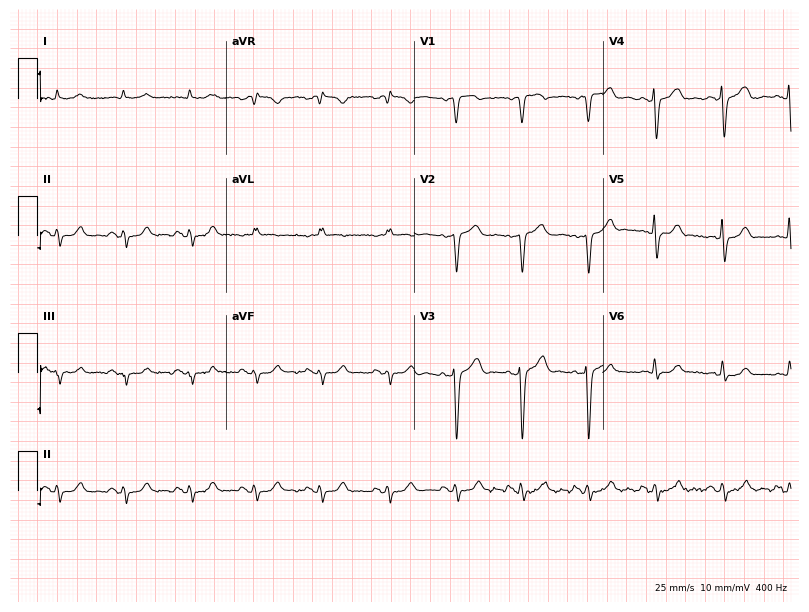
ECG — a man, 77 years old. Screened for six findings — first-degree AV block, right bundle branch block (RBBB), left bundle branch block (LBBB), sinus bradycardia, atrial fibrillation (AF), sinus tachycardia — none is recorded. Only these six findings were labelled.